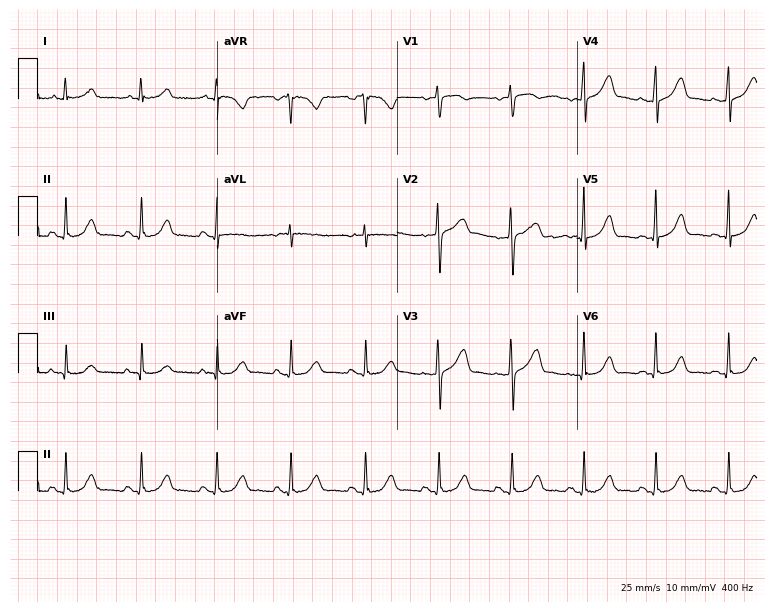
Resting 12-lead electrocardiogram (7.3-second recording at 400 Hz). Patient: a woman, 60 years old. Read as a normal ECG.